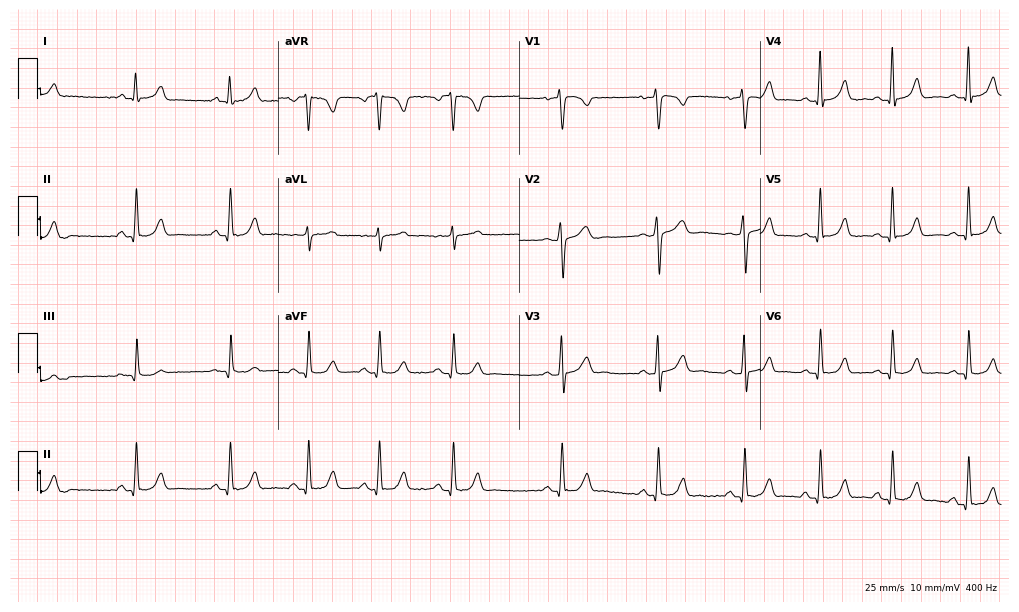
Standard 12-lead ECG recorded from a female patient, 25 years old (9.8-second recording at 400 Hz). Read as a normal ECG.